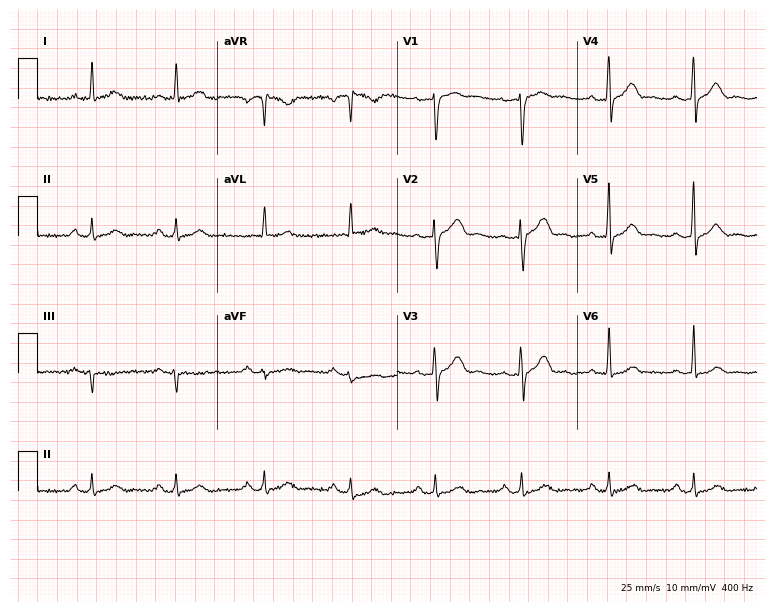
12-lead ECG (7.3-second recording at 400 Hz) from a 43-year-old female patient. Labelled as a normal ECG.